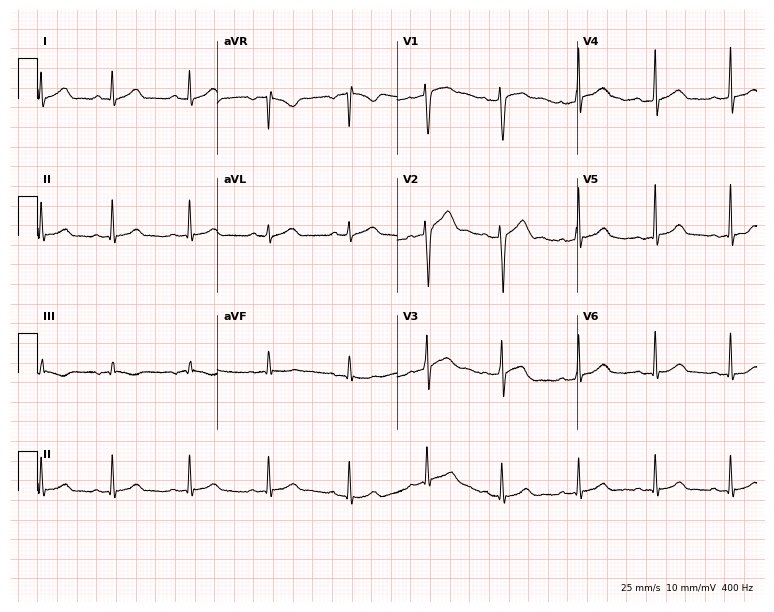
Resting 12-lead electrocardiogram. Patient: a 22-year-old man. Read as a normal ECG.